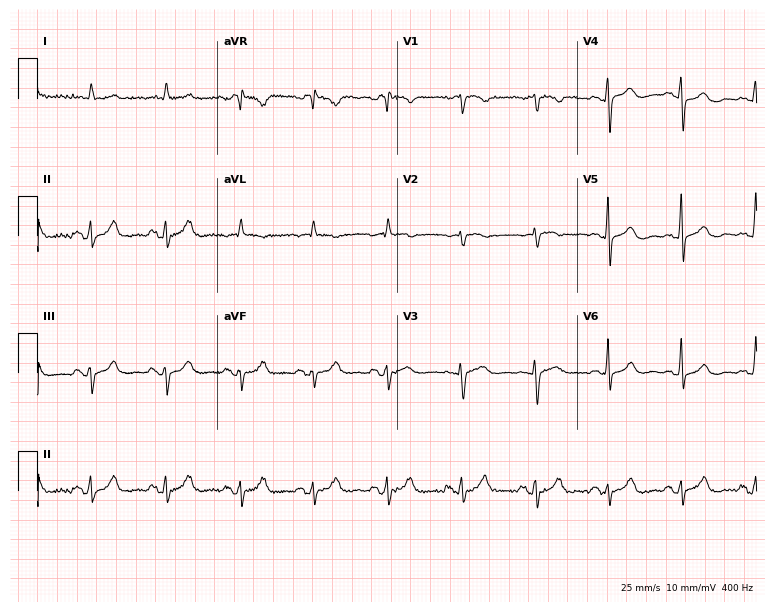
Electrocardiogram, a female, 85 years old. Of the six screened findings (first-degree AV block, right bundle branch block, left bundle branch block, sinus bradycardia, atrial fibrillation, sinus tachycardia), none is recorded. Other findings, if any, are not listed.